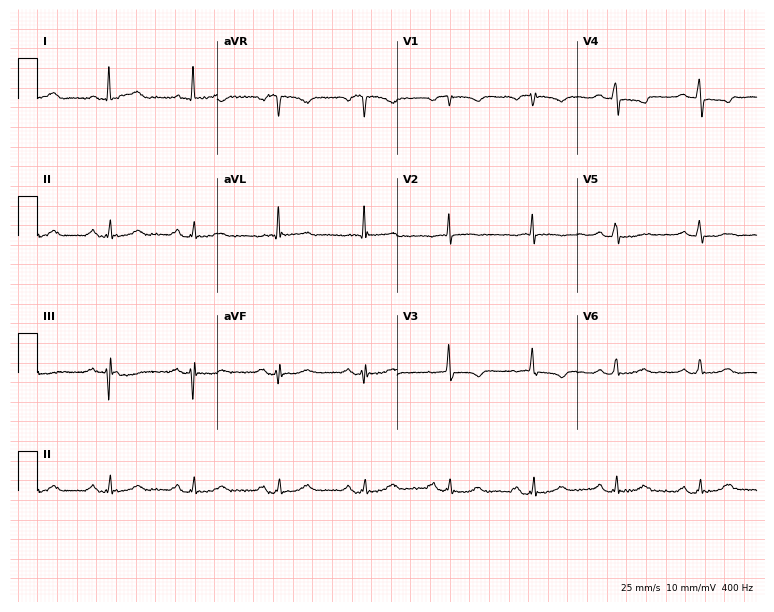
ECG (7.3-second recording at 400 Hz) — a female patient, 72 years old. Screened for six findings — first-degree AV block, right bundle branch block, left bundle branch block, sinus bradycardia, atrial fibrillation, sinus tachycardia — none is recorded. Only these six findings were labelled.